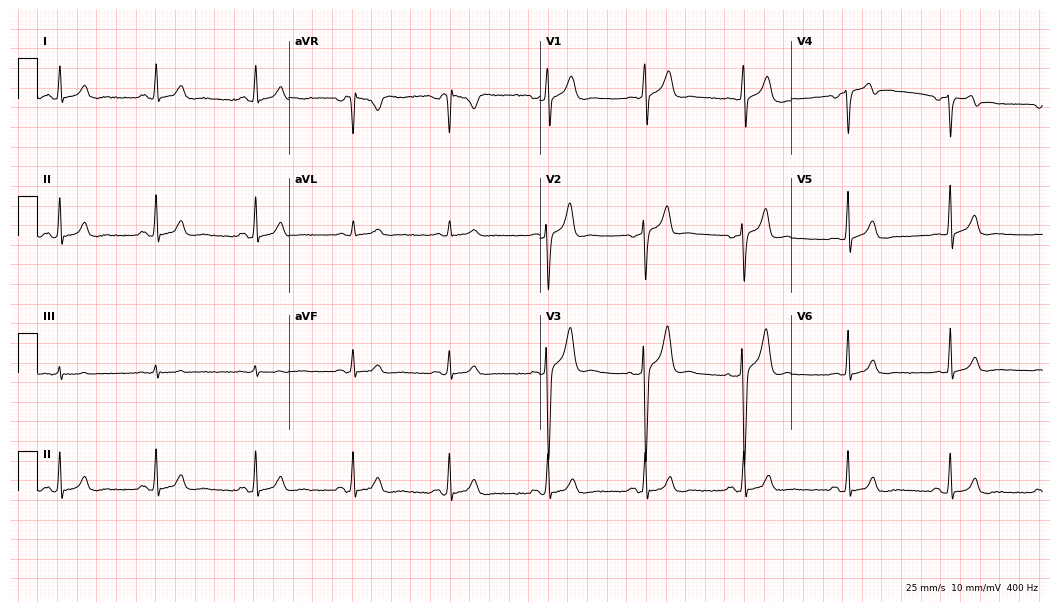
12-lead ECG from a 34-year-old man. Labelled as a normal ECG.